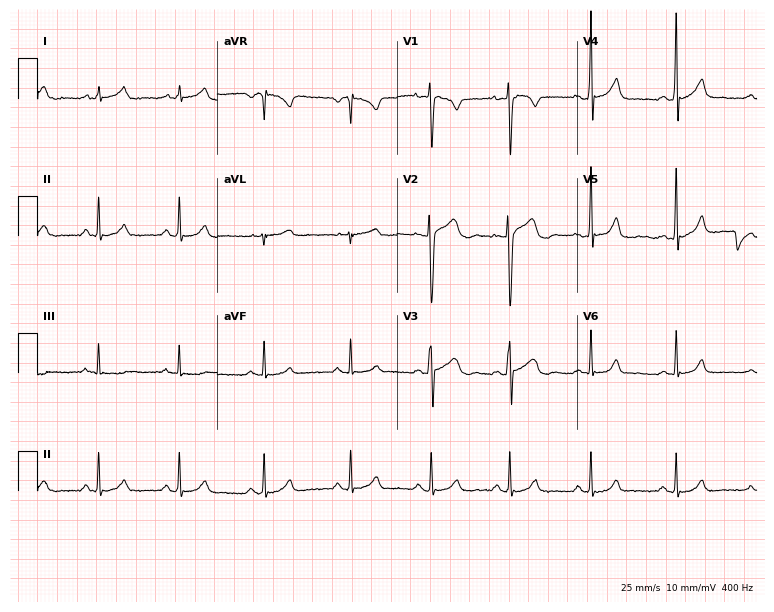
Standard 12-lead ECG recorded from a 23-year-old man. None of these six findings is recorded: first-degree AV block, right bundle branch block (RBBB), left bundle branch block (LBBB), sinus bradycardia, atrial fibrillation (AF), sinus tachycardia. Other findings, if any, are not listed.